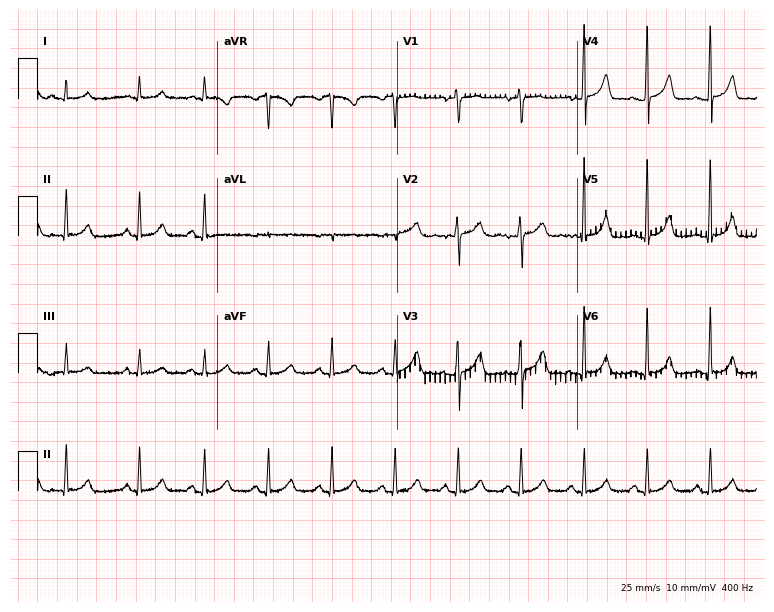
Resting 12-lead electrocardiogram. Patient: a man, 59 years old. Read as a normal ECG.